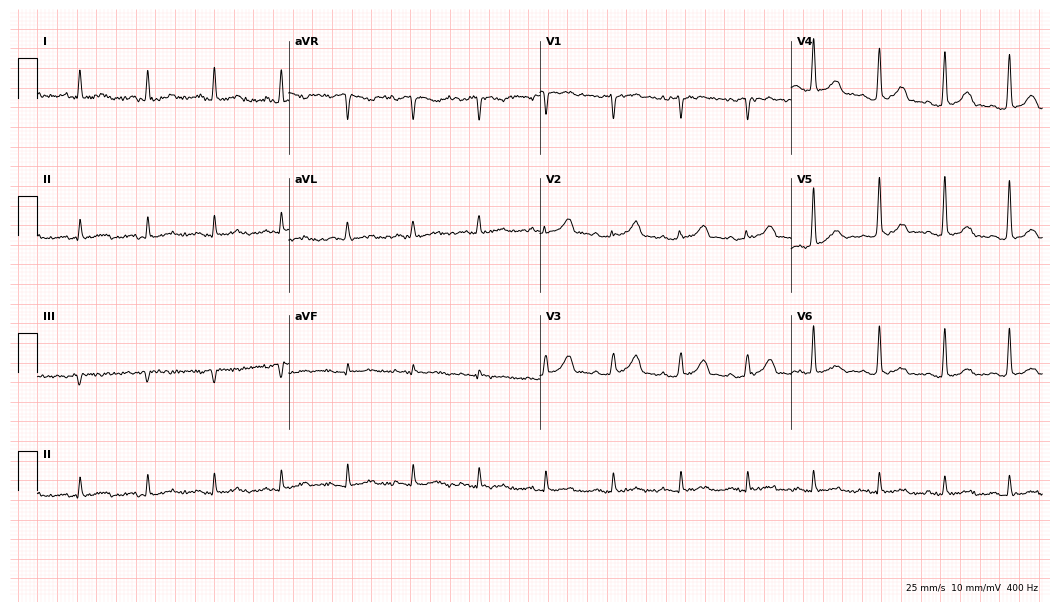
ECG (10.2-second recording at 400 Hz) — a 45-year-old man. Screened for six findings — first-degree AV block, right bundle branch block, left bundle branch block, sinus bradycardia, atrial fibrillation, sinus tachycardia — none is recorded.